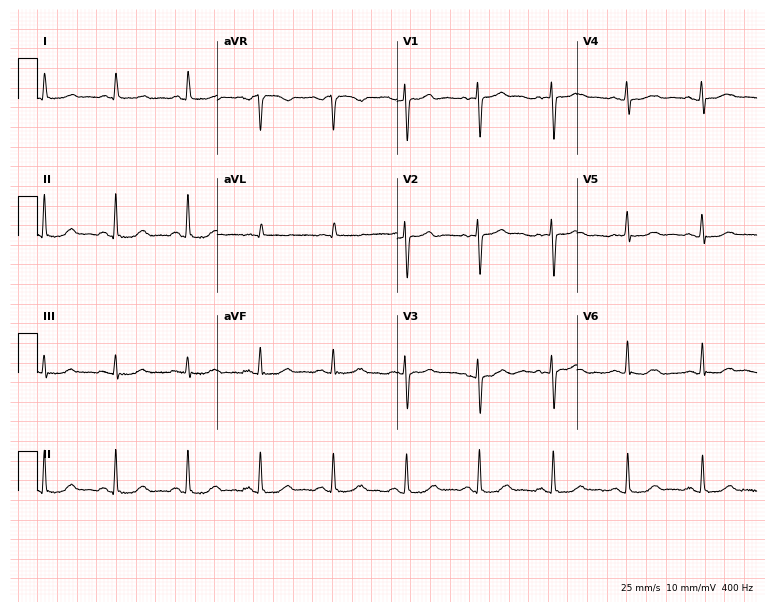
Resting 12-lead electrocardiogram (7.3-second recording at 400 Hz). Patient: a 59-year-old woman. None of these six findings is recorded: first-degree AV block, right bundle branch block, left bundle branch block, sinus bradycardia, atrial fibrillation, sinus tachycardia.